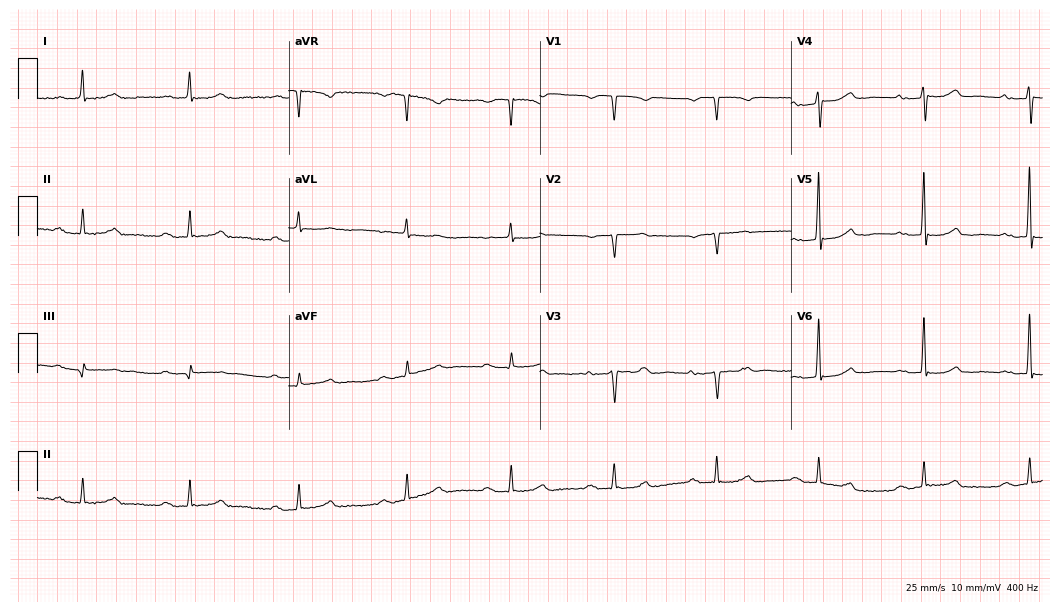
12-lead ECG from a female patient, 77 years old (10.2-second recording at 400 Hz). Shows first-degree AV block.